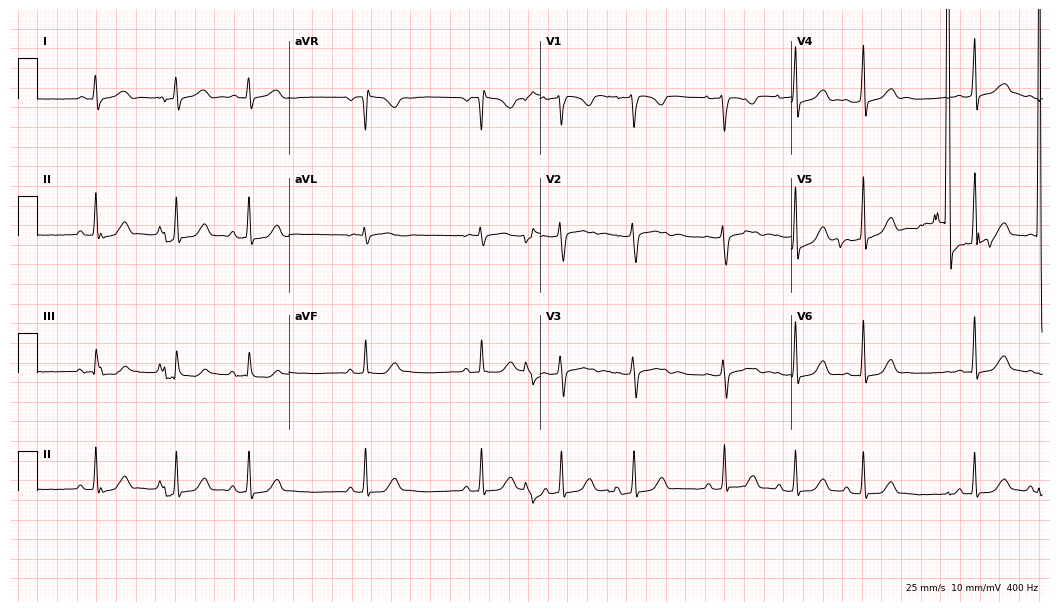
ECG — a woman, 18 years old. Screened for six findings — first-degree AV block, right bundle branch block, left bundle branch block, sinus bradycardia, atrial fibrillation, sinus tachycardia — none is recorded. Only these six findings were labelled.